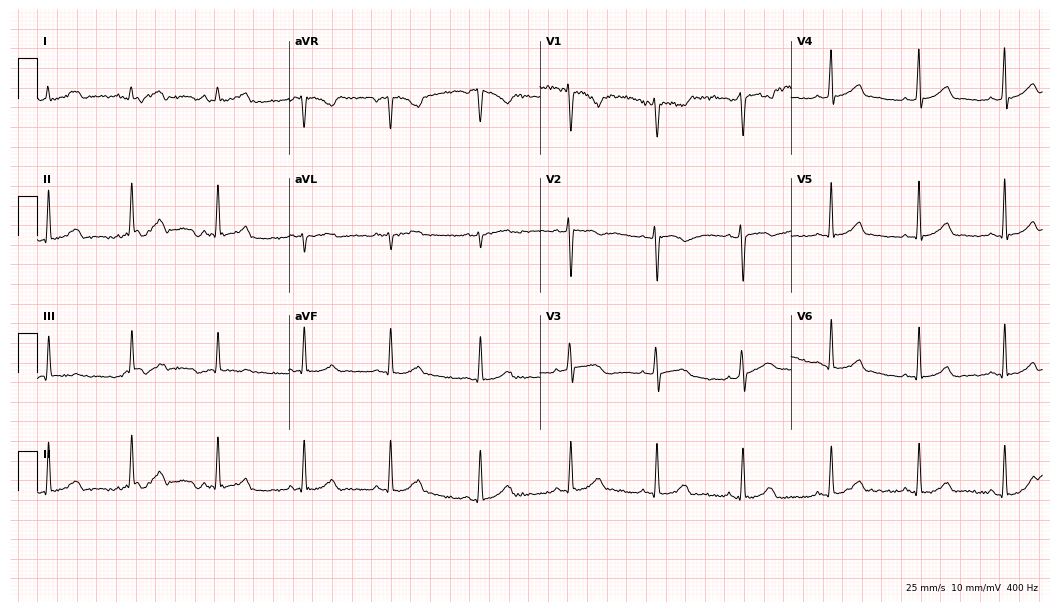
12-lead ECG from a 38-year-old woman. Recorded interpretation: within normal limits.